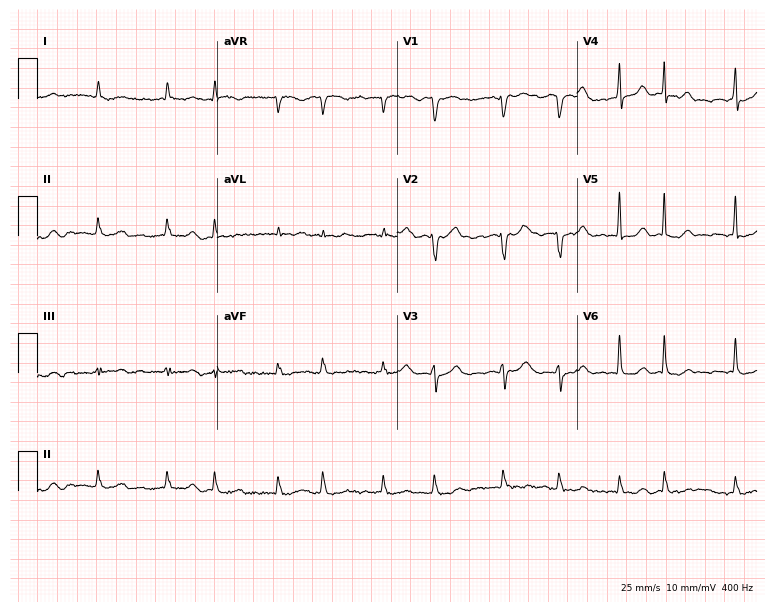
12-lead ECG from a female patient, 74 years old. Findings include atrial fibrillation.